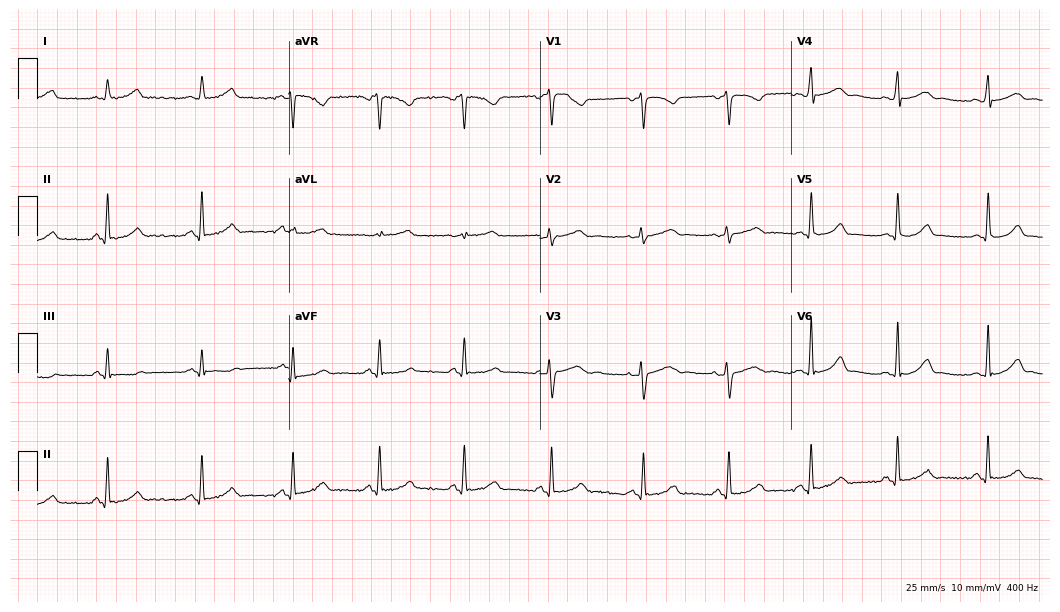
Standard 12-lead ECG recorded from a 30-year-old woman (10.2-second recording at 400 Hz). Read as a normal ECG.